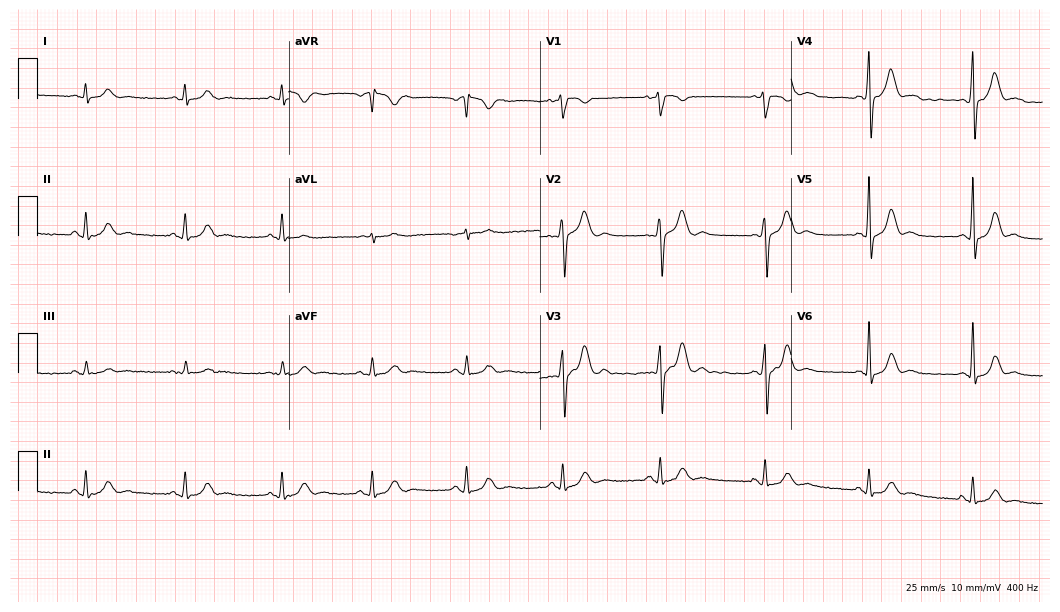
Electrocardiogram, a male, 24 years old. Overall reading on record: normal ECG.